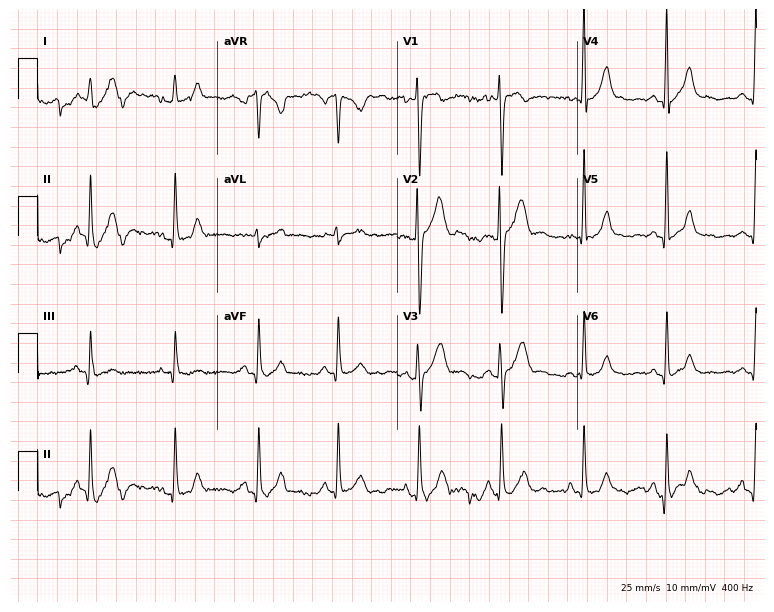
Resting 12-lead electrocardiogram (7.3-second recording at 400 Hz). Patient: a male, 27 years old. Read as a normal ECG.